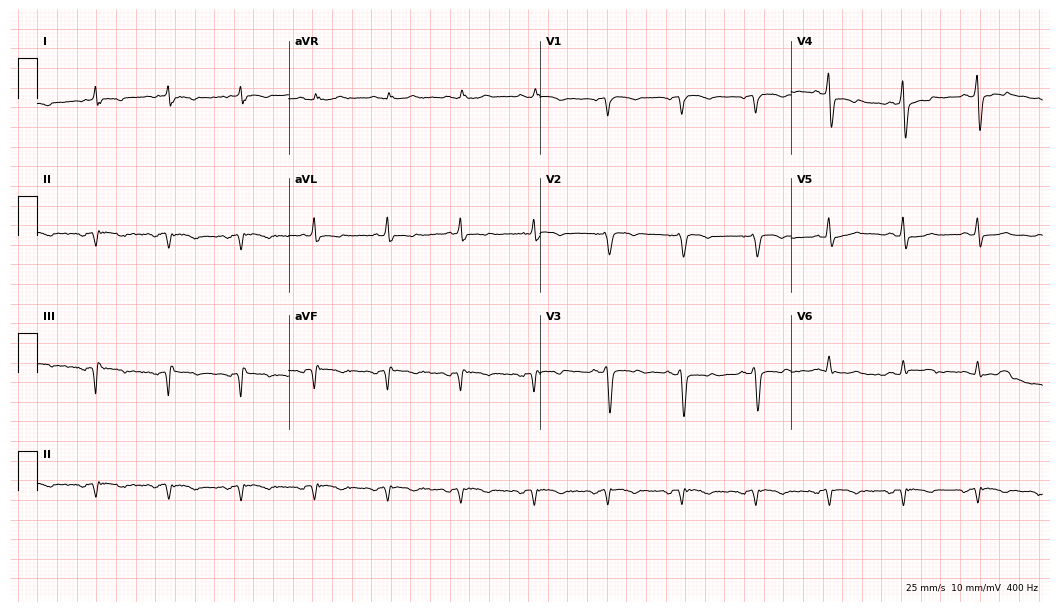
ECG (10.2-second recording at 400 Hz) — an 81-year-old man. Screened for six findings — first-degree AV block, right bundle branch block (RBBB), left bundle branch block (LBBB), sinus bradycardia, atrial fibrillation (AF), sinus tachycardia — none is recorded.